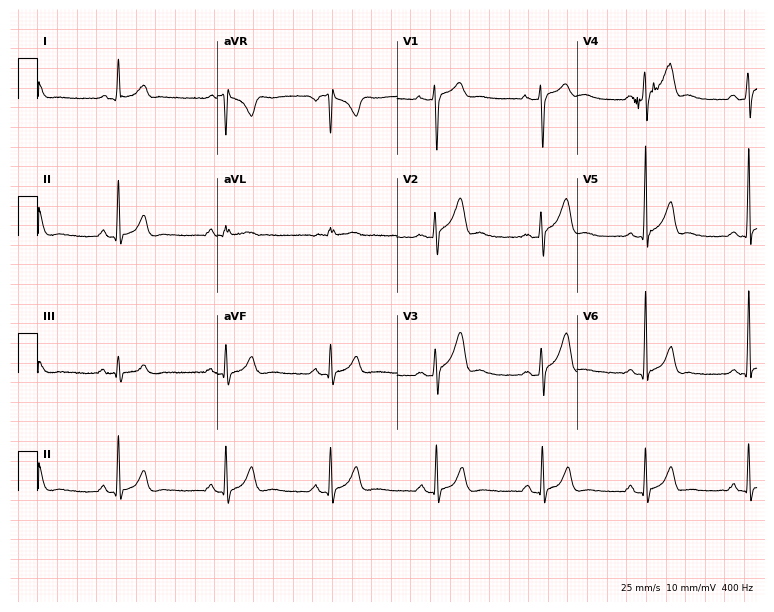
Standard 12-lead ECG recorded from a man, 26 years old (7.3-second recording at 400 Hz). None of these six findings is recorded: first-degree AV block, right bundle branch block (RBBB), left bundle branch block (LBBB), sinus bradycardia, atrial fibrillation (AF), sinus tachycardia.